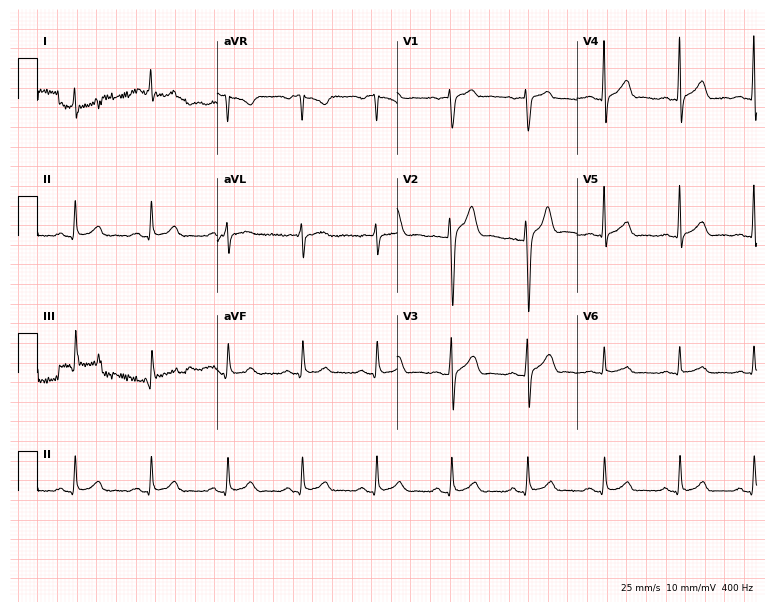
Standard 12-lead ECG recorded from a 39-year-old male. Read as a normal ECG.